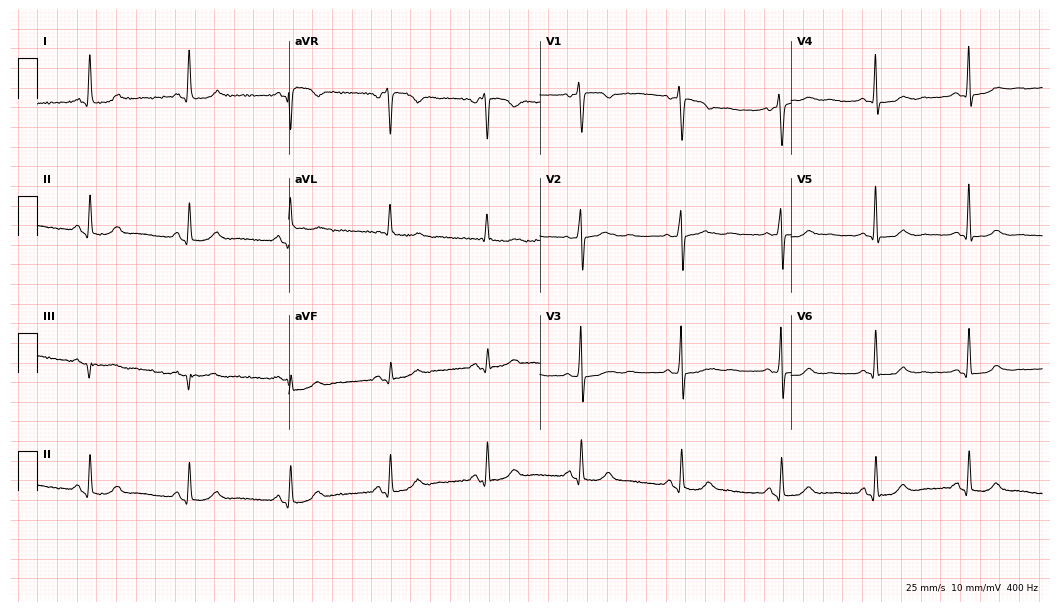
12-lead ECG from a female, 60 years old (10.2-second recording at 400 Hz). Recorded interpretation: within normal limits.